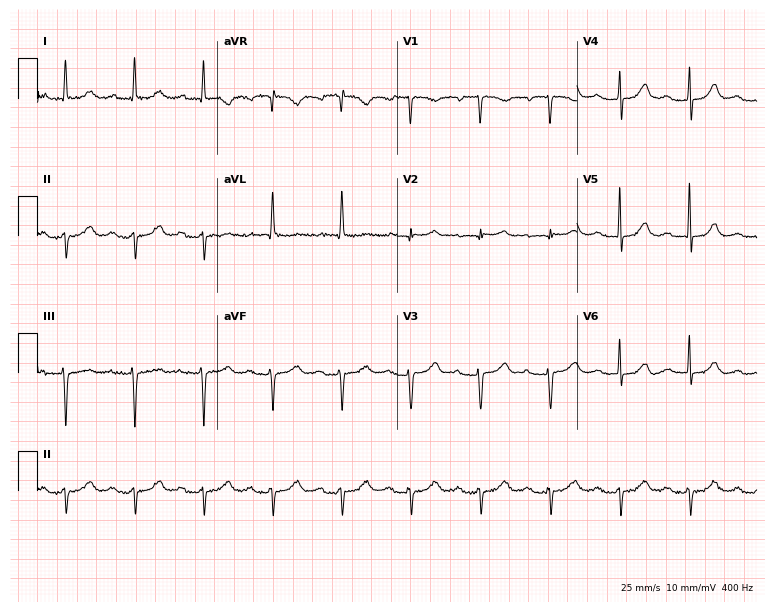
ECG — an 81-year-old female. Findings include first-degree AV block.